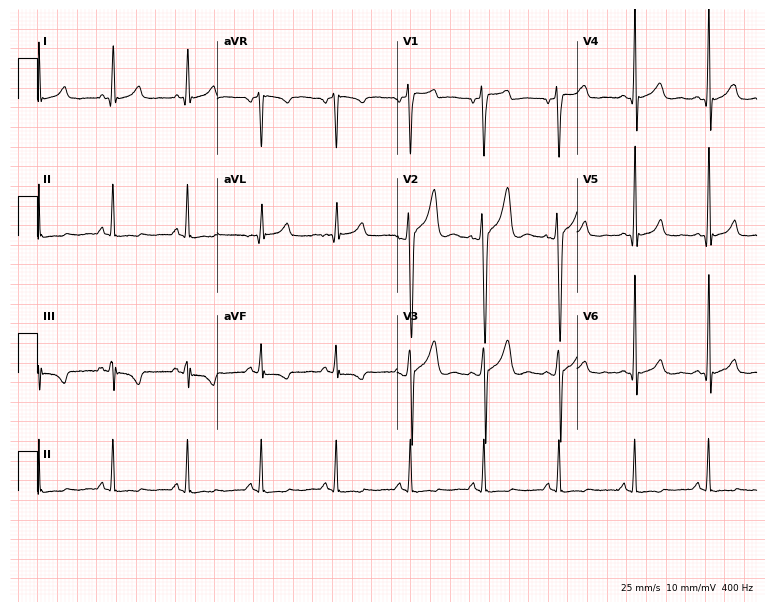
12-lead ECG from a 24-year-old man. Screened for six findings — first-degree AV block, right bundle branch block, left bundle branch block, sinus bradycardia, atrial fibrillation, sinus tachycardia — none is recorded.